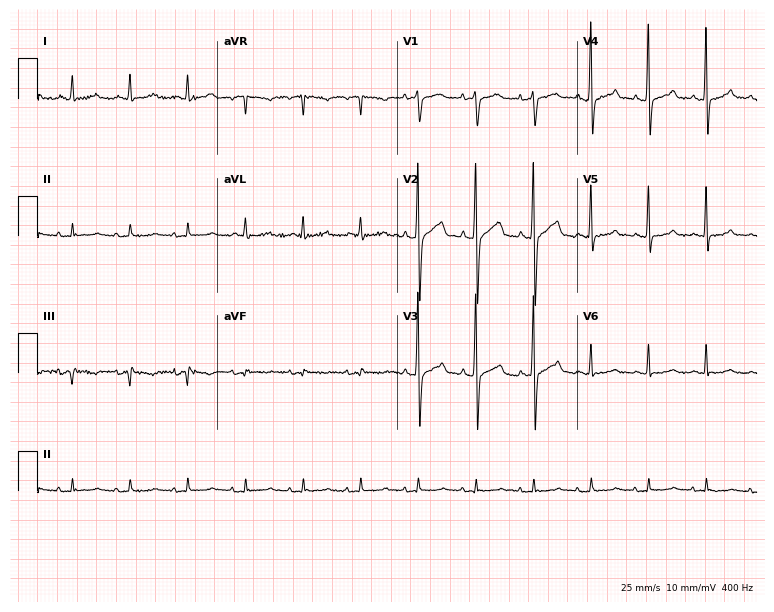
Resting 12-lead electrocardiogram. Patient: an 81-year-old male. The tracing shows sinus tachycardia (a sinus rate of 100 beats per minute or more).